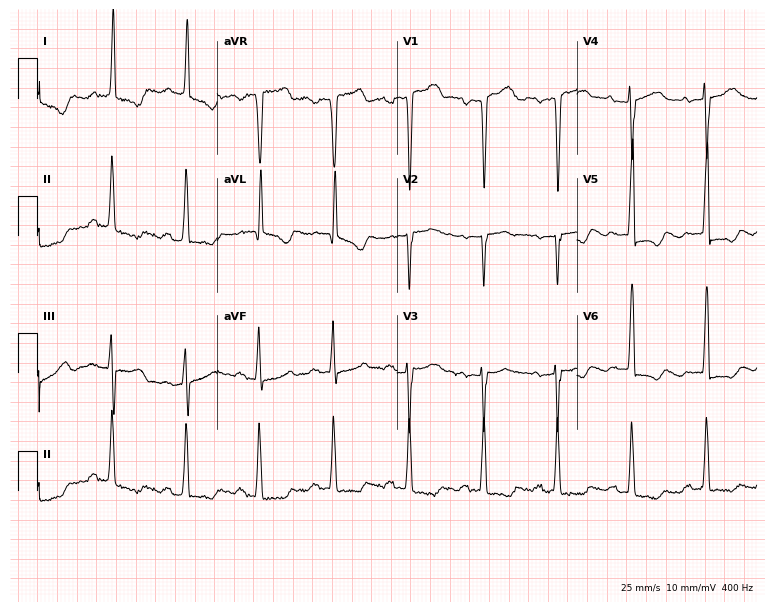
12-lead ECG from a 54-year-old female patient. No first-degree AV block, right bundle branch block, left bundle branch block, sinus bradycardia, atrial fibrillation or sinus tachycardia recorded for this tracing. Other findings, if any, are not listed.